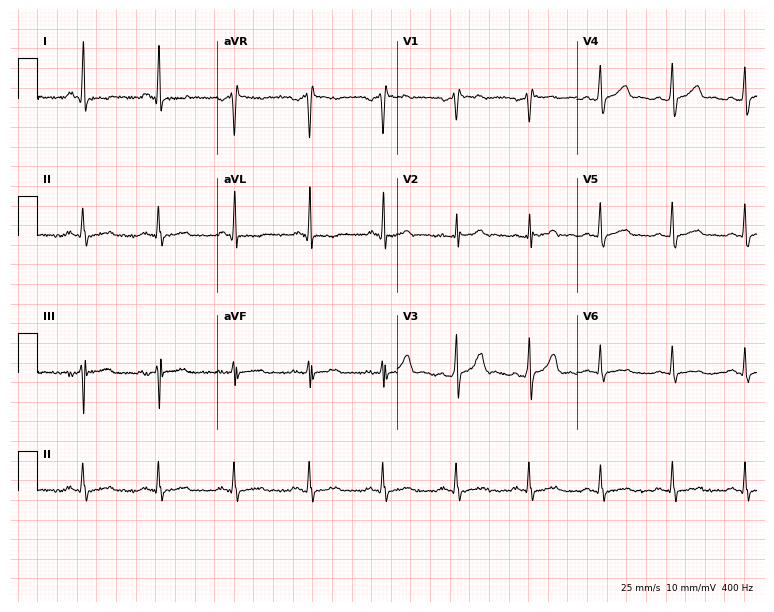
Electrocardiogram (7.3-second recording at 400 Hz), a 38-year-old man. Of the six screened findings (first-degree AV block, right bundle branch block (RBBB), left bundle branch block (LBBB), sinus bradycardia, atrial fibrillation (AF), sinus tachycardia), none is recorded. Other findings, if any, are not listed.